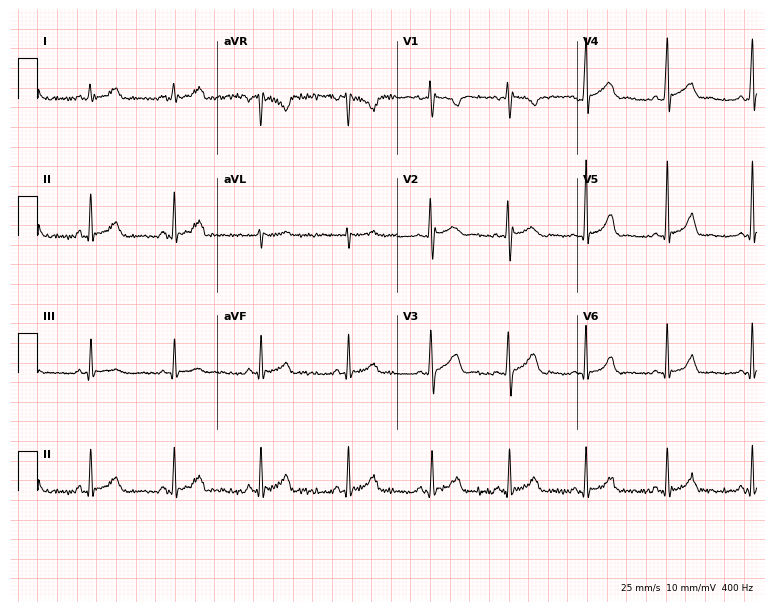
12-lead ECG (7.3-second recording at 400 Hz) from a 22-year-old female. Labelled as a normal ECG.